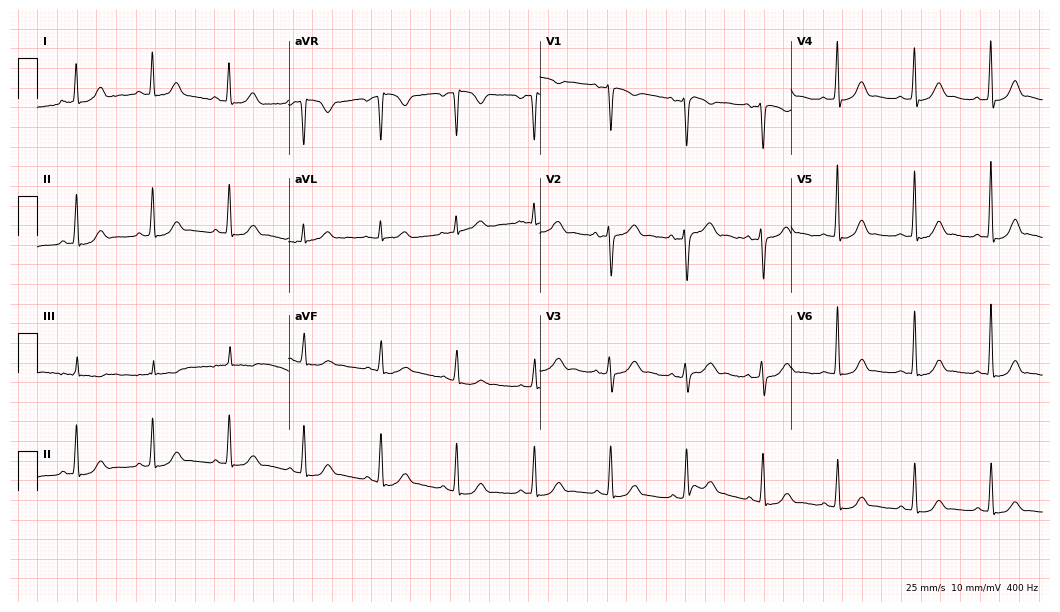
12-lead ECG from a 30-year-old female. Labelled as a normal ECG.